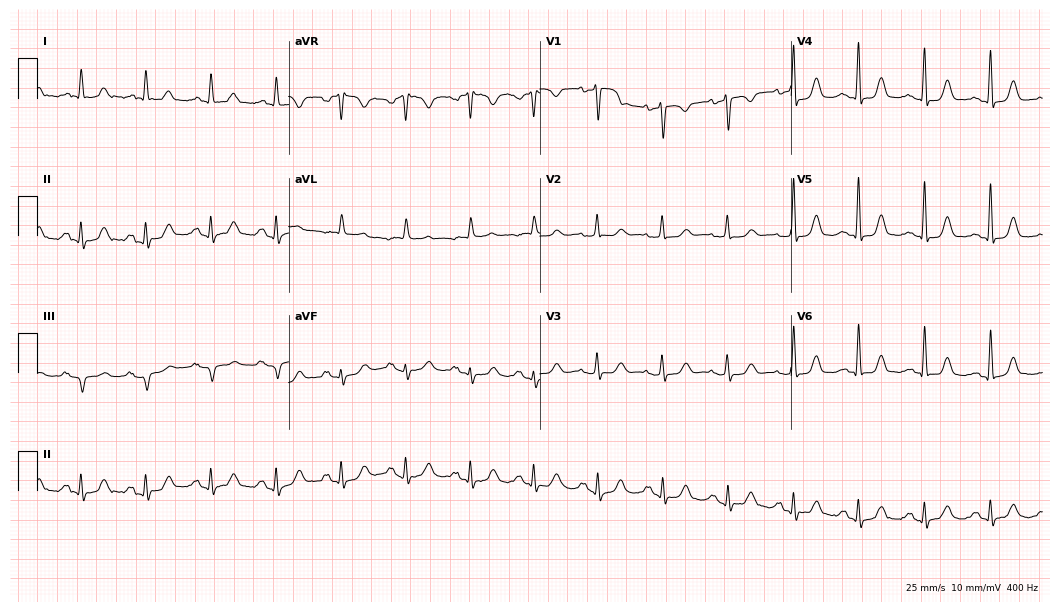
Resting 12-lead electrocardiogram. Patient: a 46-year-old female. Read as a normal ECG.